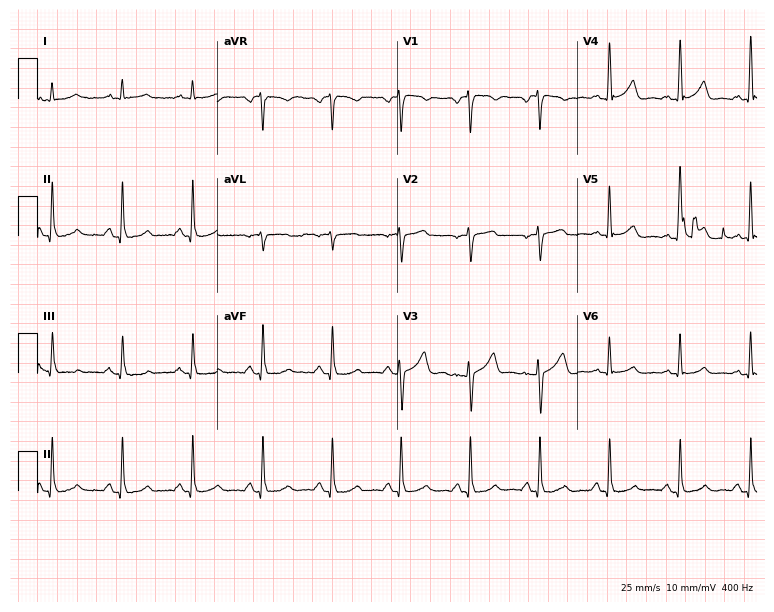
Electrocardiogram, a 59-year-old man. Overall reading on record: normal ECG.